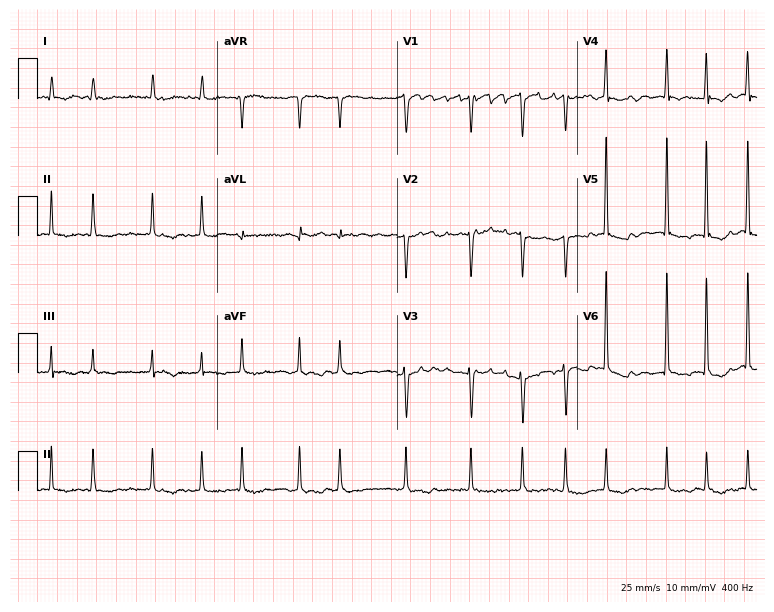
Electrocardiogram (7.3-second recording at 400 Hz), a female patient, 83 years old. Interpretation includes atrial fibrillation.